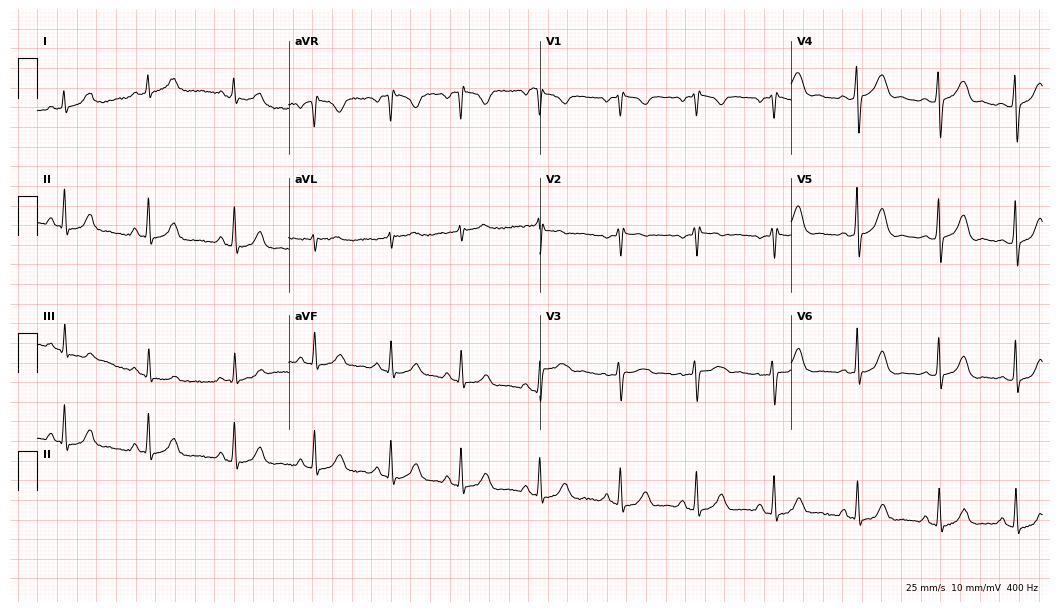
12-lead ECG from a female patient, 36 years old. Screened for six findings — first-degree AV block, right bundle branch block (RBBB), left bundle branch block (LBBB), sinus bradycardia, atrial fibrillation (AF), sinus tachycardia — none is recorded.